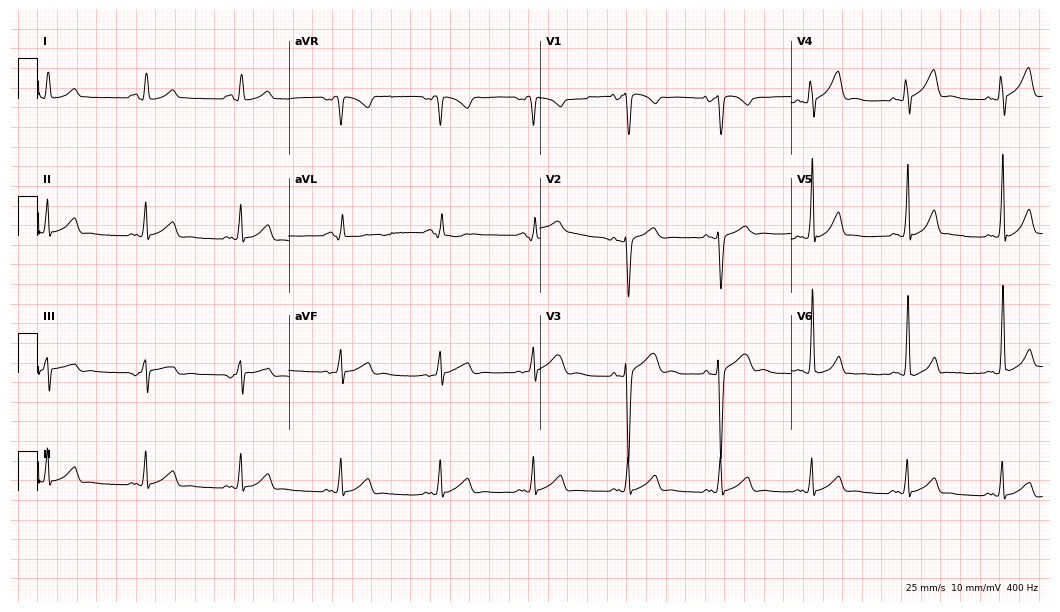
Standard 12-lead ECG recorded from a 29-year-old female. None of these six findings is recorded: first-degree AV block, right bundle branch block (RBBB), left bundle branch block (LBBB), sinus bradycardia, atrial fibrillation (AF), sinus tachycardia. Other findings, if any, are not listed.